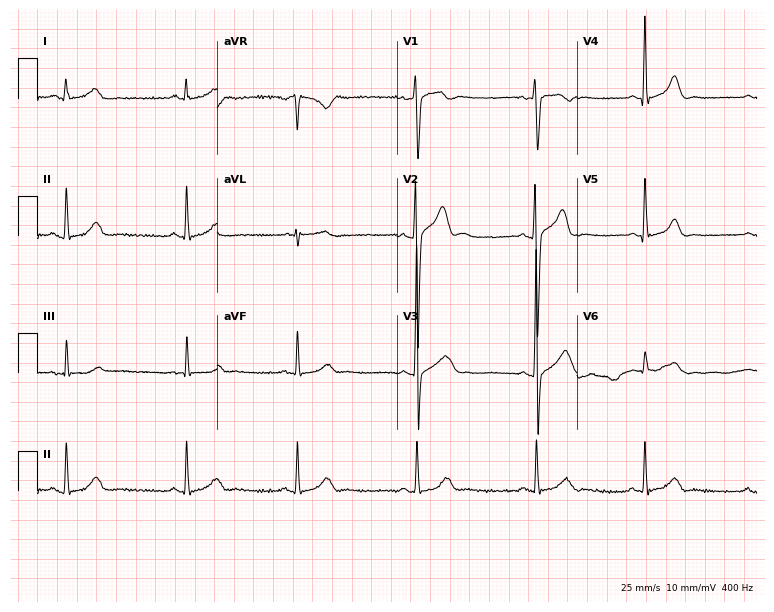
Electrocardiogram, a 23-year-old male patient. Overall reading on record: normal ECG.